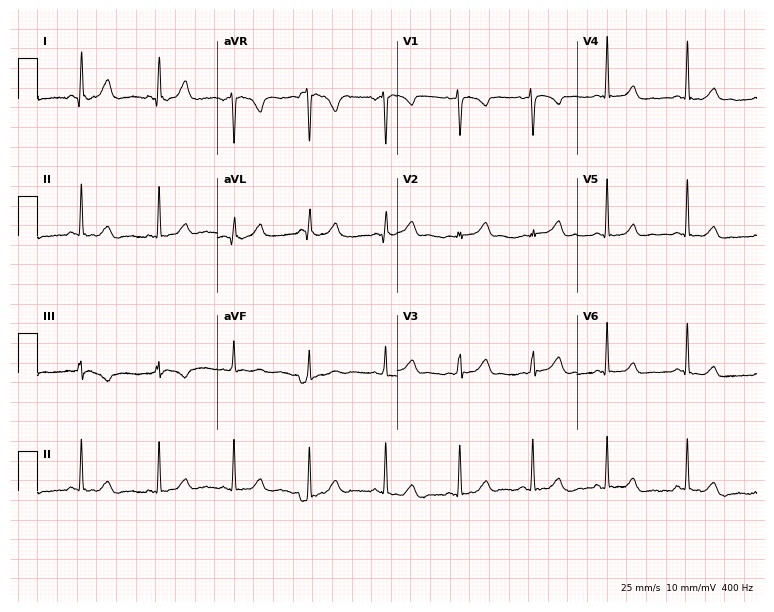
ECG (7.3-second recording at 400 Hz) — a woman, 28 years old. Labelled as a normal ECG.